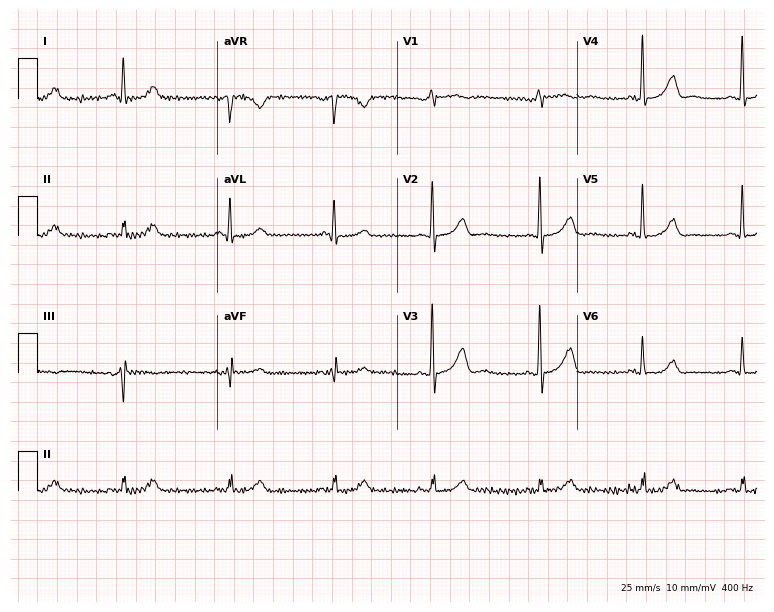
Resting 12-lead electrocardiogram. Patient: a female, 80 years old. Read as a normal ECG.